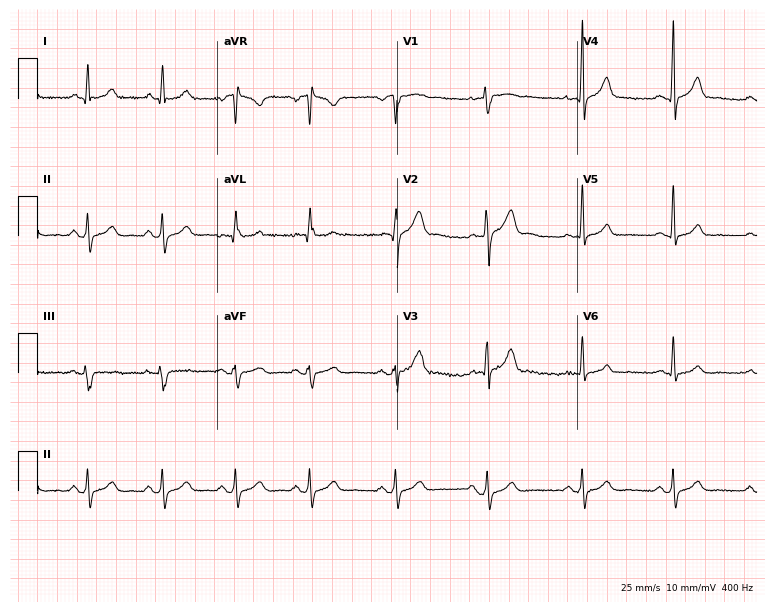
Resting 12-lead electrocardiogram (7.3-second recording at 400 Hz). Patient: a male, 36 years old. Read as a normal ECG.